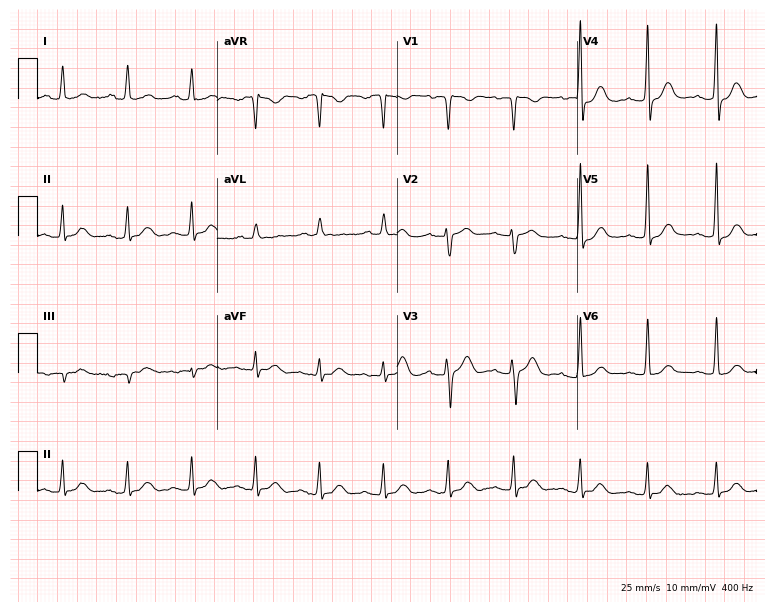
Resting 12-lead electrocardiogram. Patient: a male, 55 years old. None of these six findings is recorded: first-degree AV block, right bundle branch block, left bundle branch block, sinus bradycardia, atrial fibrillation, sinus tachycardia.